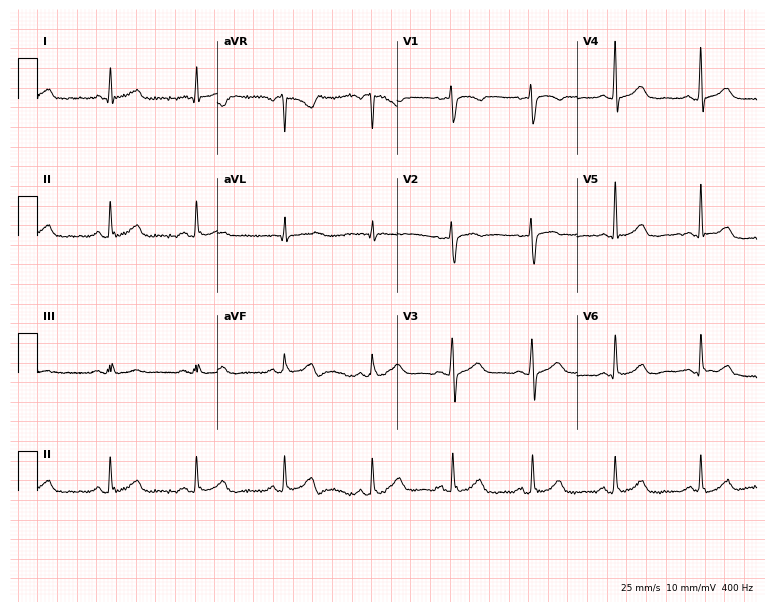
Electrocardiogram (7.3-second recording at 400 Hz), a 49-year-old female. Overall reading on record: normal ECG.